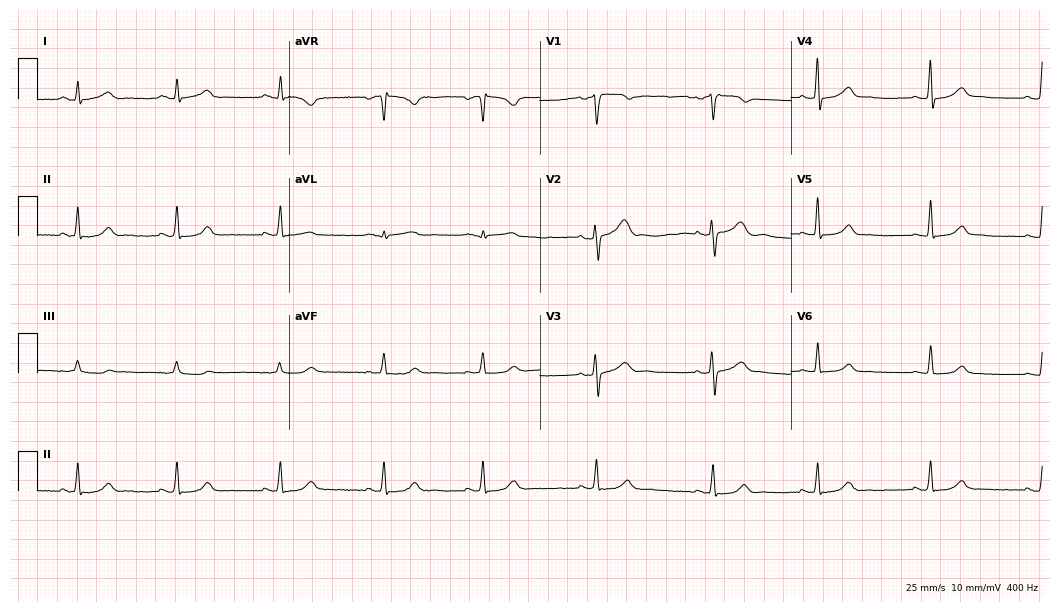
Electrocardiogram, a 32-year-old woman. Overall reading on record: normal ECG.